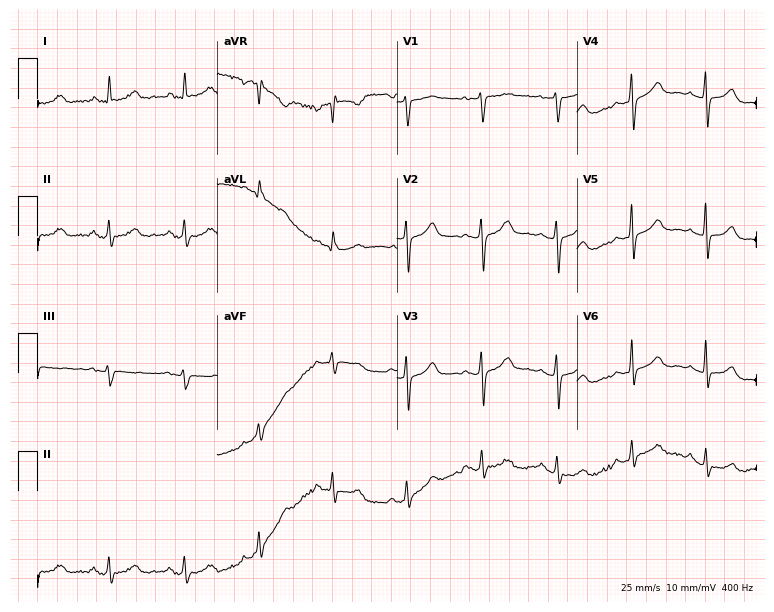
12-lead ECG from a 55-year-old female. No first-degree AV block, right bundle branch block, left bundle branch block, sinus bradycardia, atrial fibrillation or sinus tachycardia recorded for this tracing. Findings outside these six are not listed.